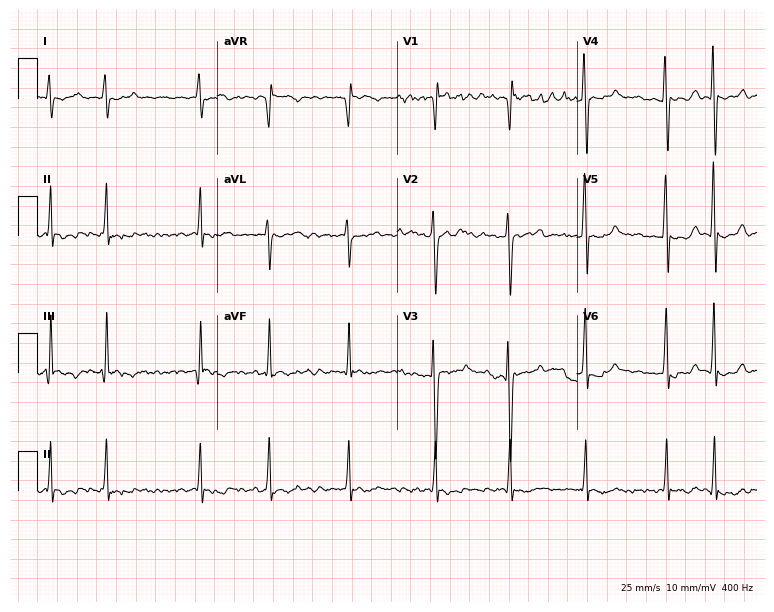
12-lead ECG (7.3-second recording at 400 Hz) from a 39-year-old female patient. Findings include atrial fibrillation (AF).